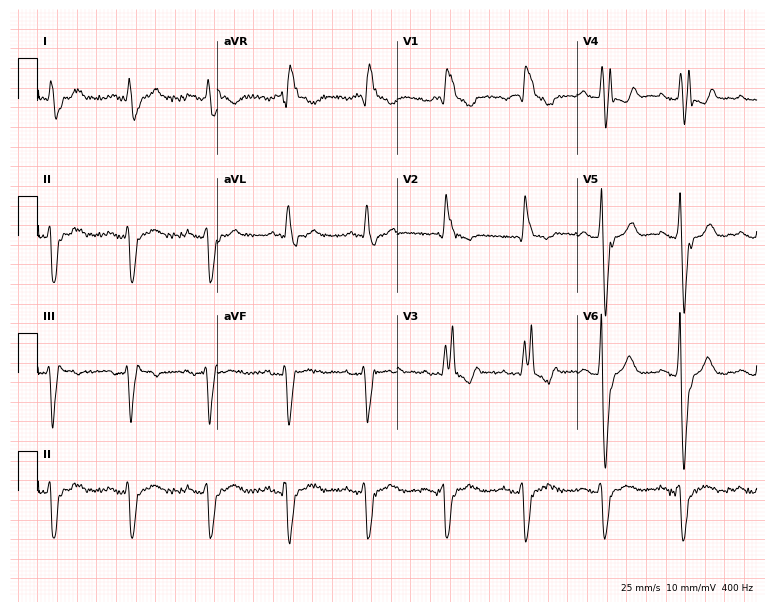
Resting 12-lead electrocardiogram. Patient: an 84-year-old male. The tracing shows right bundle branch block.